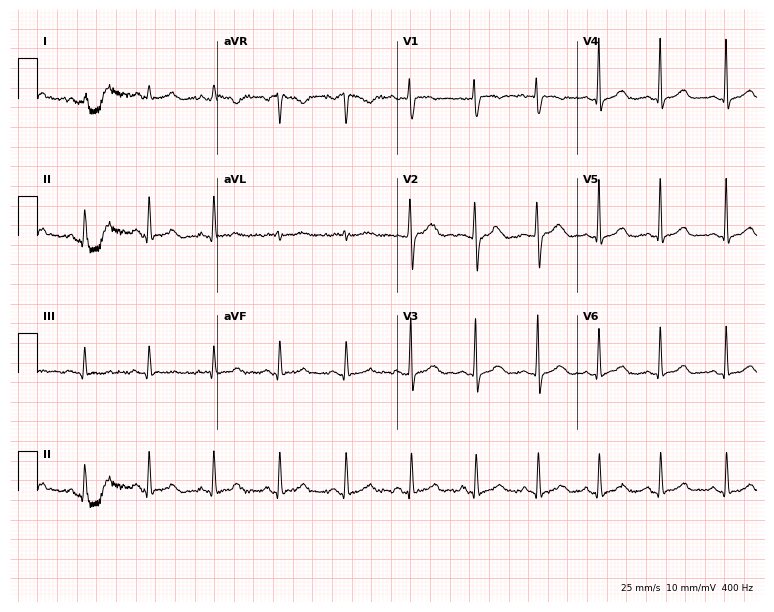
12-lead ECG from a female, 37 years old (7.3-second recording at 400 Hz). Recorded interpretation: within normal limits.